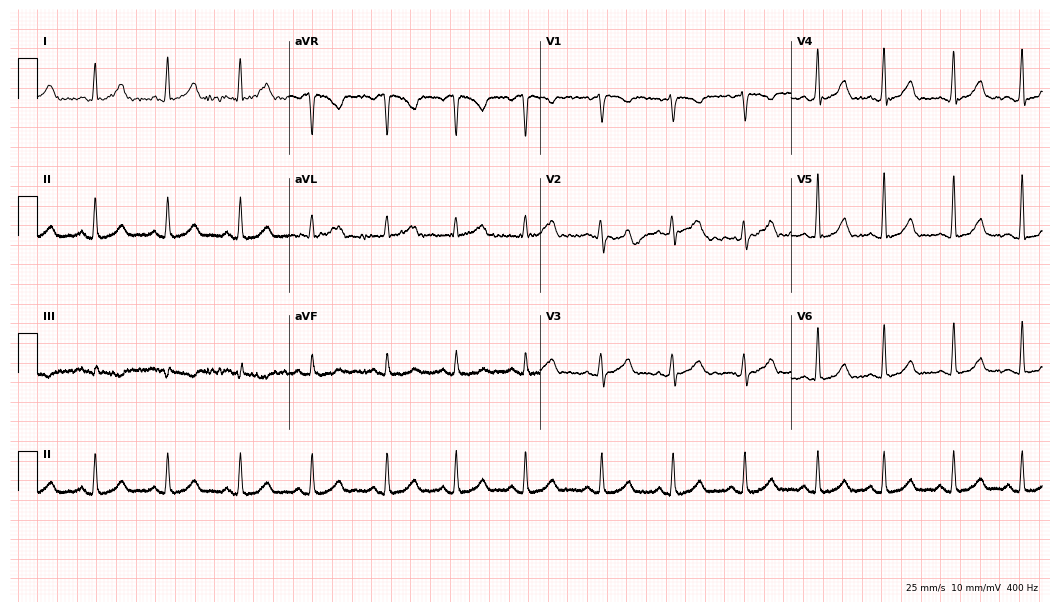
ECG (10.2-second recording at 400 Hz) — a female, 50 years old. Labelled as a normal ECG.